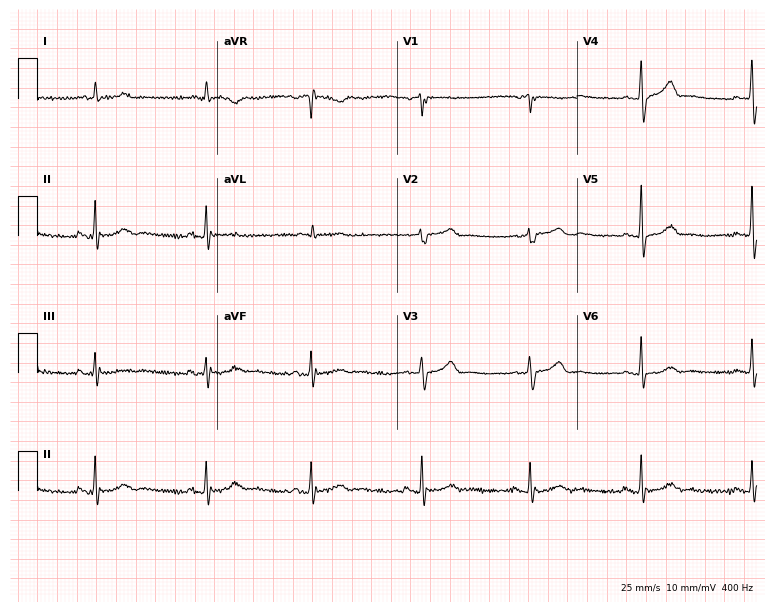
Electrocardiogram, an 81-year-old man. Of the six screened findings (first-degree AV block, right bundle branch block, left bundle branch block, sinus bradycardia, atrial fibrillation, sinus tachycardia), none is recorded.